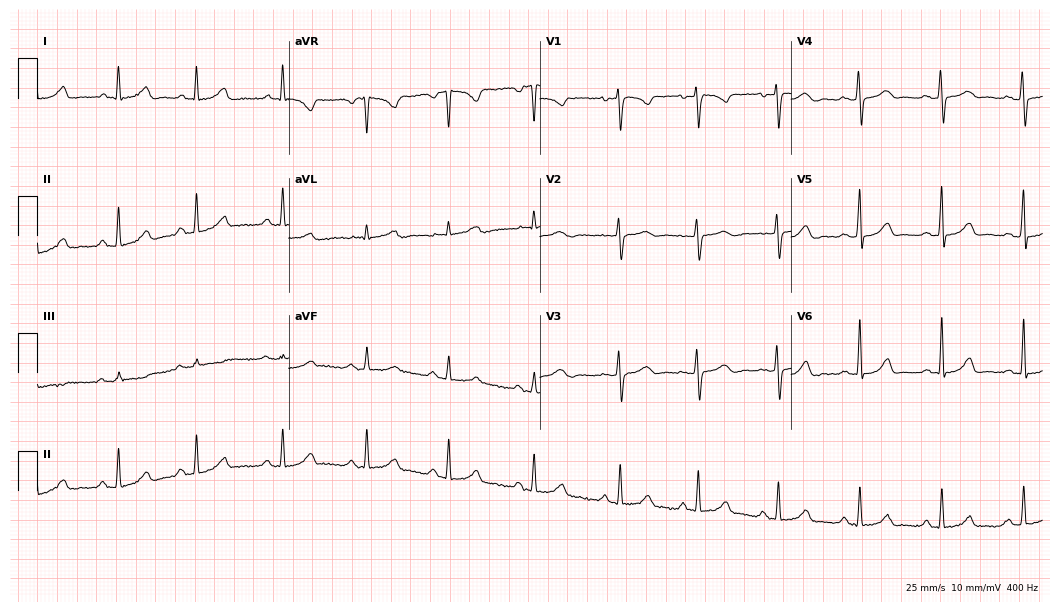
12-lead ECG from a female, 23 years old (10.2-second recording at 400 Hz). Recorded interpretation: within normal limits.